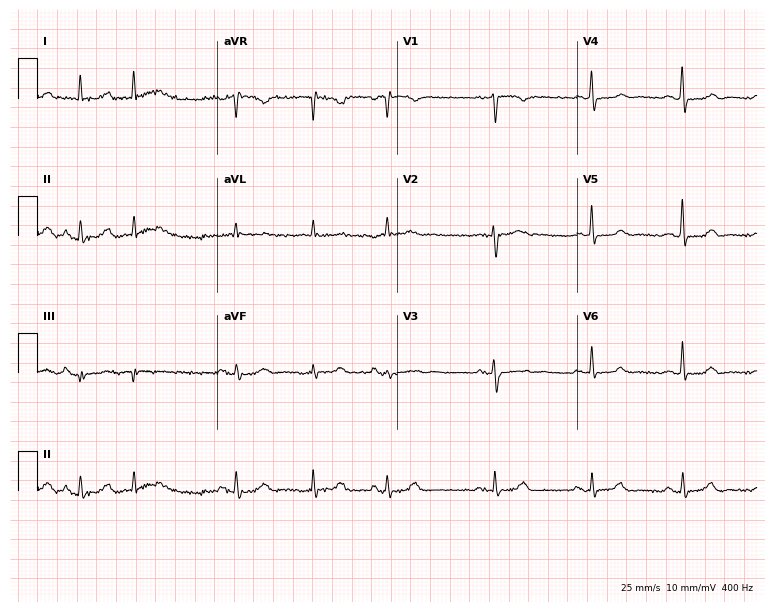
Standard 12-lead ECG recorded from a 68-year-old female patient (7.3-second recording at 400 Hz). None of these six findings is recorded: first-degree AV block, right bundle branch block (RBBB), left bundle branch block (LBBB), sinus bradycardia, atrial fibrillation (AF), sinus tachycardia. Only these six findings were labelled.